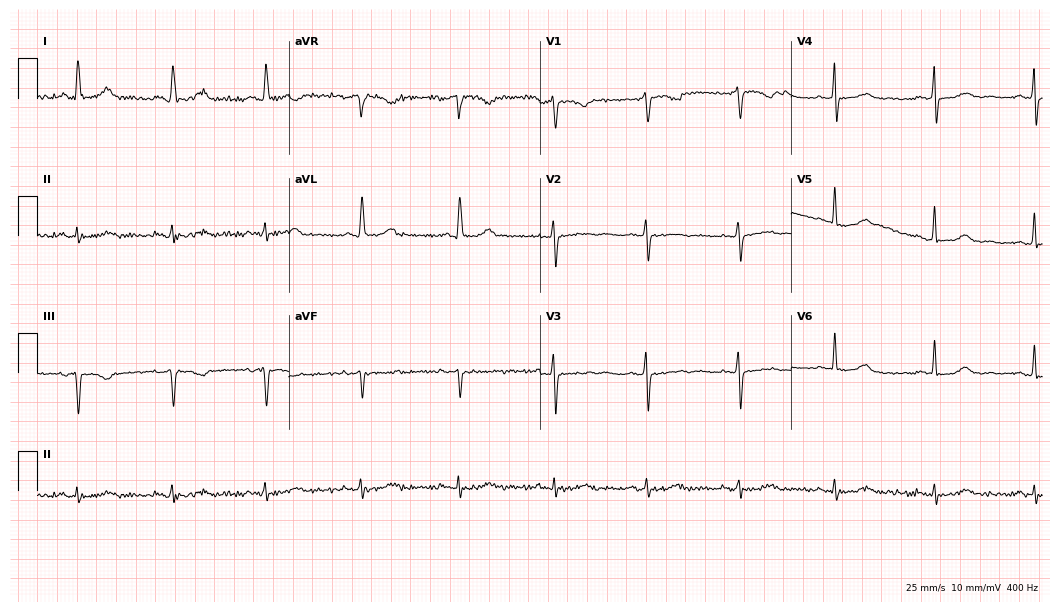
ECG — a 71-year-old female patient. Screened for six findings — first-degree AV block, right bundle branch block, left bundle branch block, sinus bradycardia, atrial fibrillation, sinus tachycardia — none is recorded.